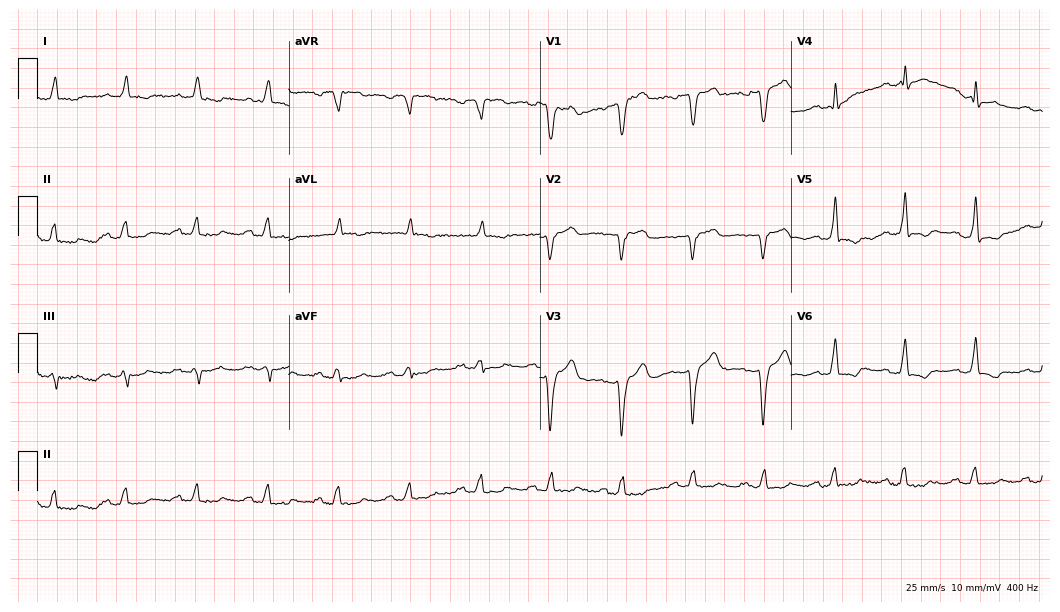
12-lead ECG from an 85-year-old woman (10.2-second recording at 400 Hz). No first-degree AV block, right bundle branch block, left bundle branch block, sinus bradycardia, atrial fibrillation or sinus tachycardia recorded for this tracing.